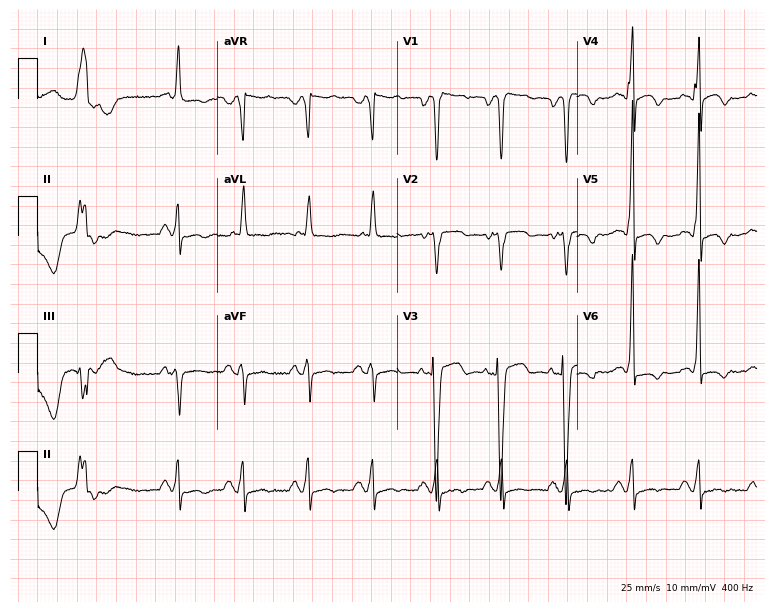
12-lead ECG from a 73-year-old male. No first-degree AV block, right bundle branch block (RBBB), left bundle branch block (LBBB), sinus bradycardia, atrial fibrillation (AF) or sinus tachycardia recorded for this tracing. Findings outside these six are not listed.